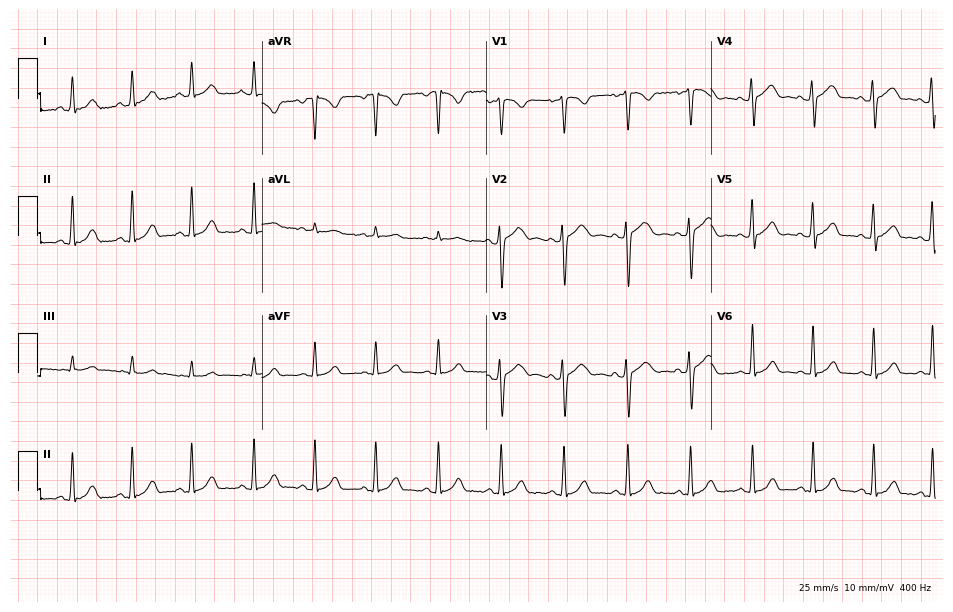
ECG — a 26-year-old male. Labelled as a normal ECG.